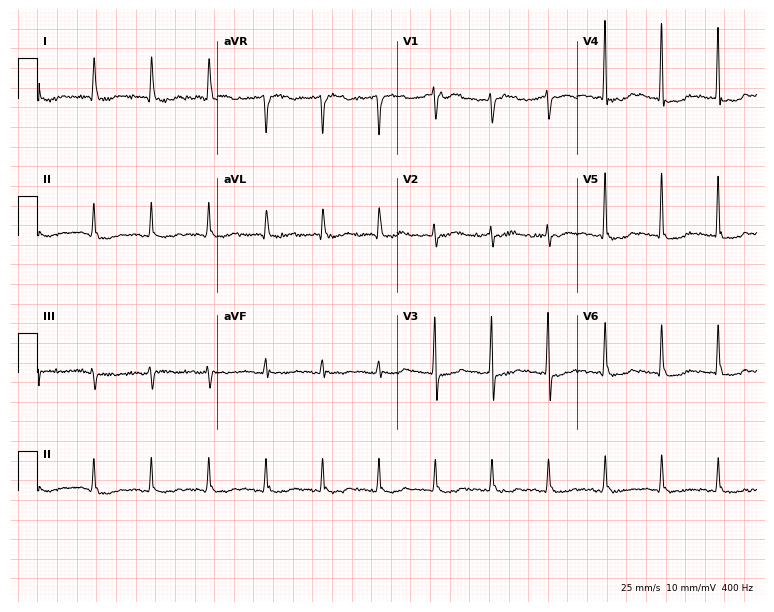
Electrocardiogram (7.3-second recording at 400 Hz), a woman, 77 years old. Of the six screened findings (first-degree AV block, right bundle branch block, left bundle branch block, sinus bradycardia, atrial fibrillation, sinus tachycardia), none is recorded.